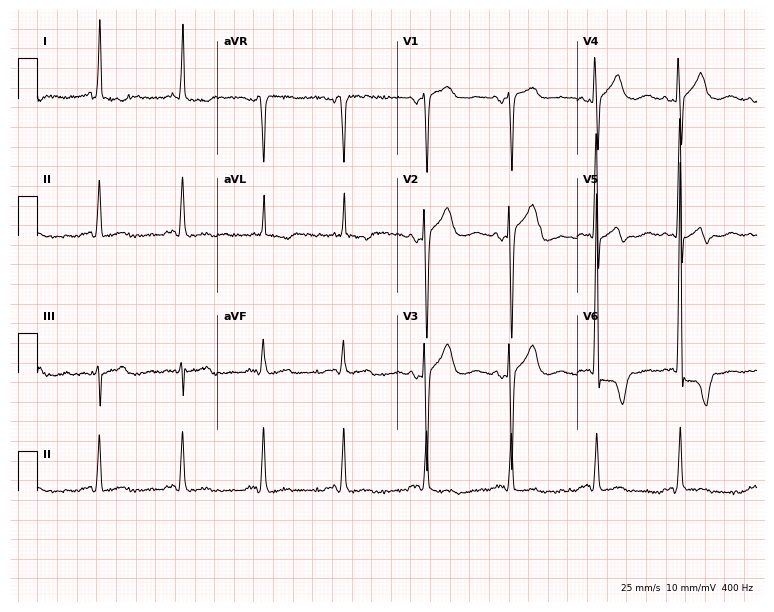
Electrocardiogram (7.3-second recording at 400 Hz), a 71-year-old female. Of the six screened findings (first-degree AV block, right bundle branch block, left bundle branch block, sinus bradycardia, atrial fibrillation, sinus tachycardia), none is recorded.